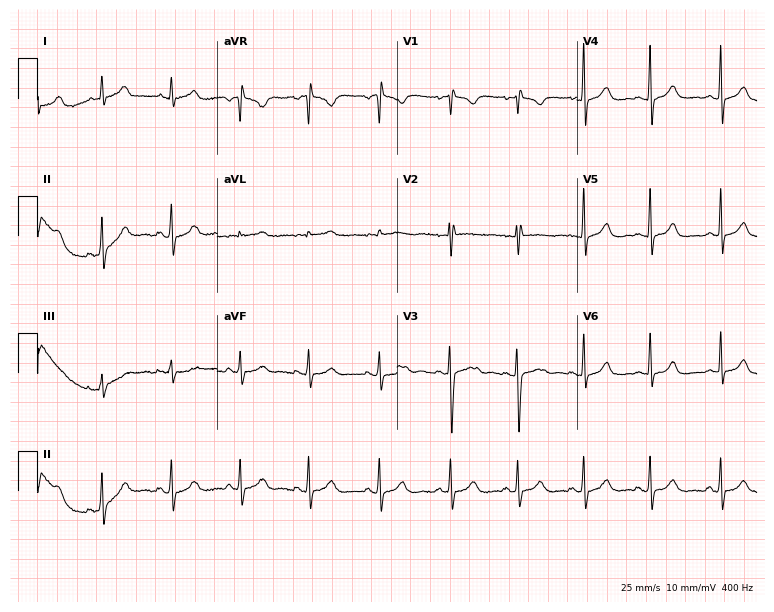
Electrocardiogram (7.3-second recording at 400 Hz), a female patient, 19 years old. Of the six screened findings (first-degree AV block, right bundle branch block, left bundle branch block, sinus bradycardia, atrial fibrillation, sinus tachycardia), none is recorded. Findings outside these six are not listed.